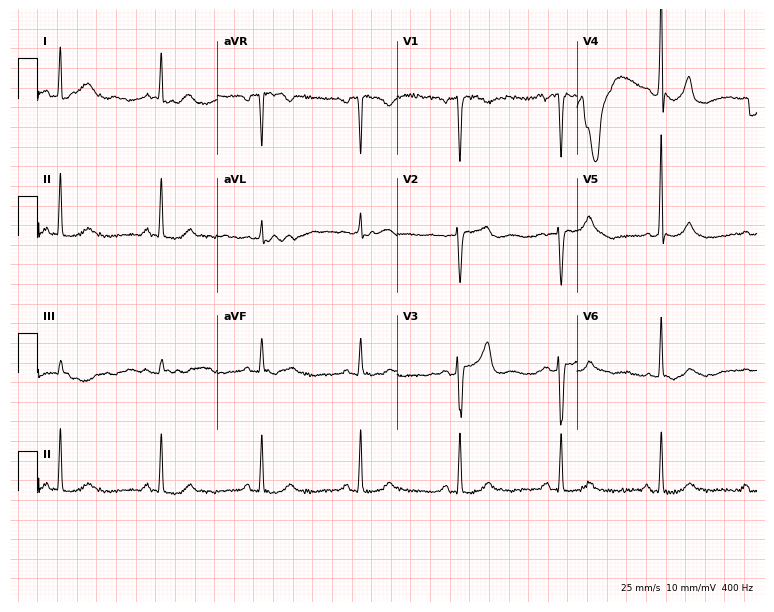
Electrocardiogram (7.3-second recording at 400 Hz), a male patient, 62 years old. Overall reading on record: normal ECG.